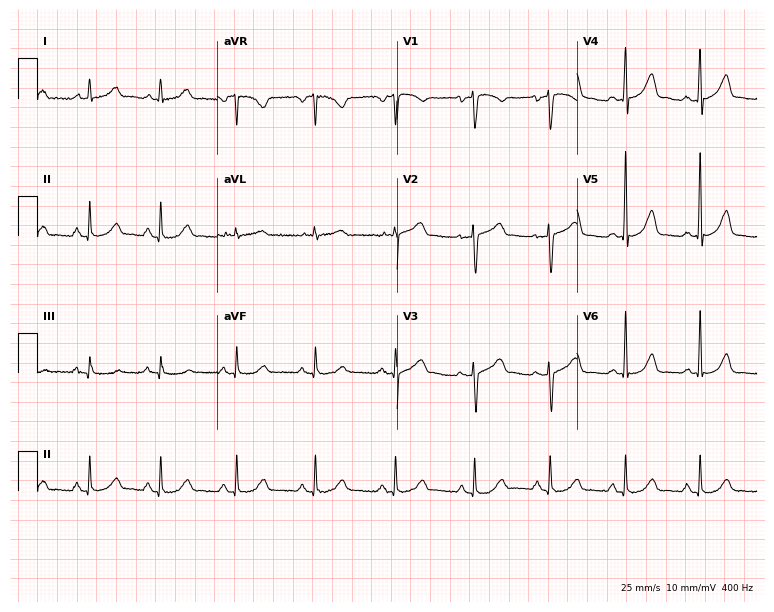
12-lead ECG from a 59-year-old woman (7.3-second recording at 400 Hz). No first-degree AV block, right bundle branch block, left bundle branch block, sinus bradycardia, atrial fibrillation or sinus tachycardia recorded for this tracing.